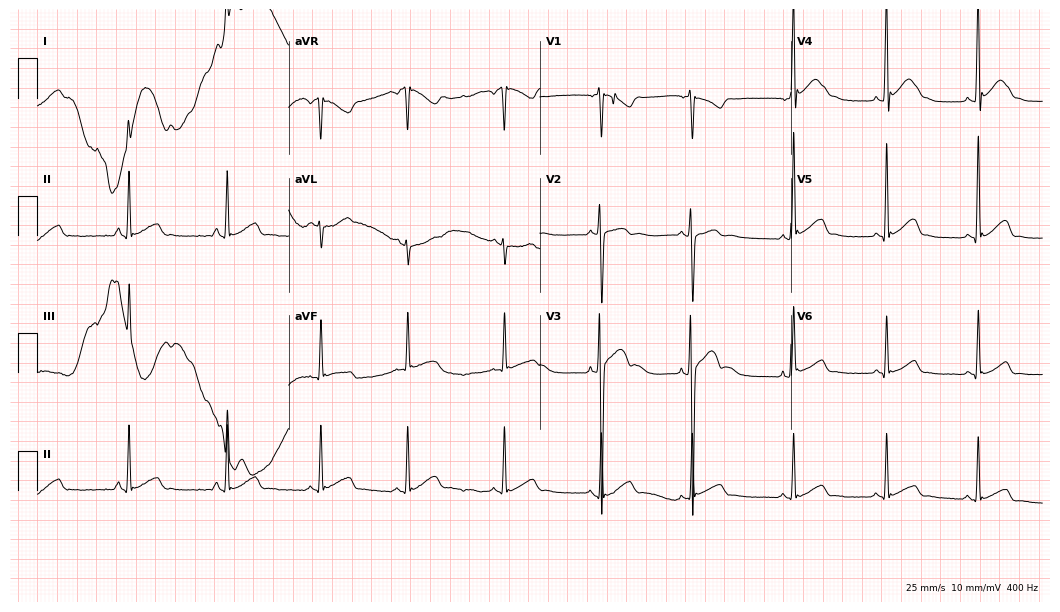
ECG — a male, 41 years old. Screened for six findings — first-degree AV block, right bundle branch block (RBBB), left bundle branch block (LBBB), sinus bradycardia, atrial fibrillation (AF), sinus tachycardia — none is recorded.